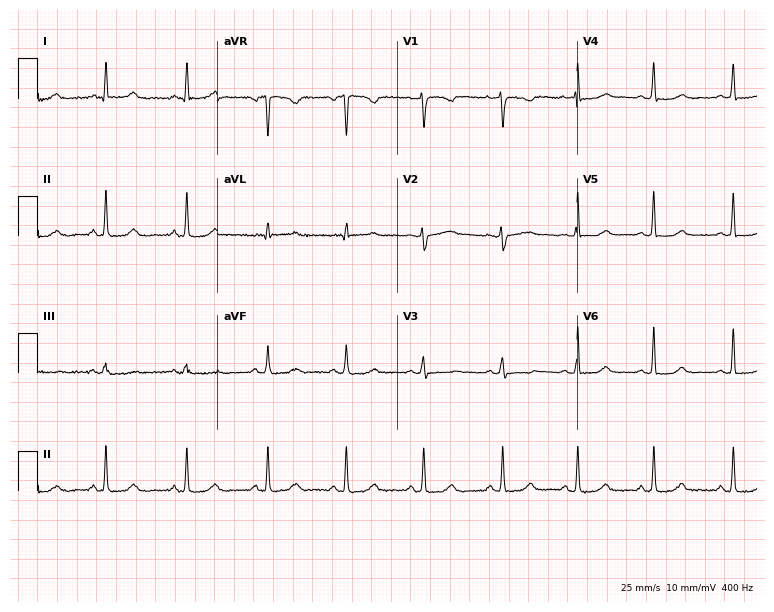
Standard 12-lead ECG recorded from a 38-year-old woman. None of these six findings is recorded: first-degree AV block, right bundle branch block, left bundle branch block, sinus bradycardia, atrial fibrillation, sinus tachycardia. Only these six findings were labelled.